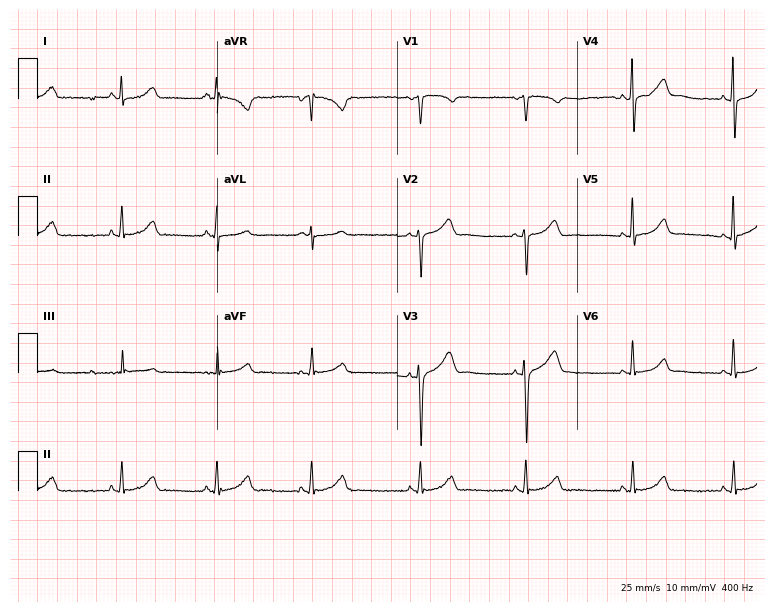
12-lead ECG from a female, 43 years old. No first-degree AV block, right bundle branch block (RBBB), left bundle branch block (LBBB), sinus bradycardia, atrial fibrillation (AF) or sinus tachycardia recorded for this tracing. Other findings, if any, are not listed.